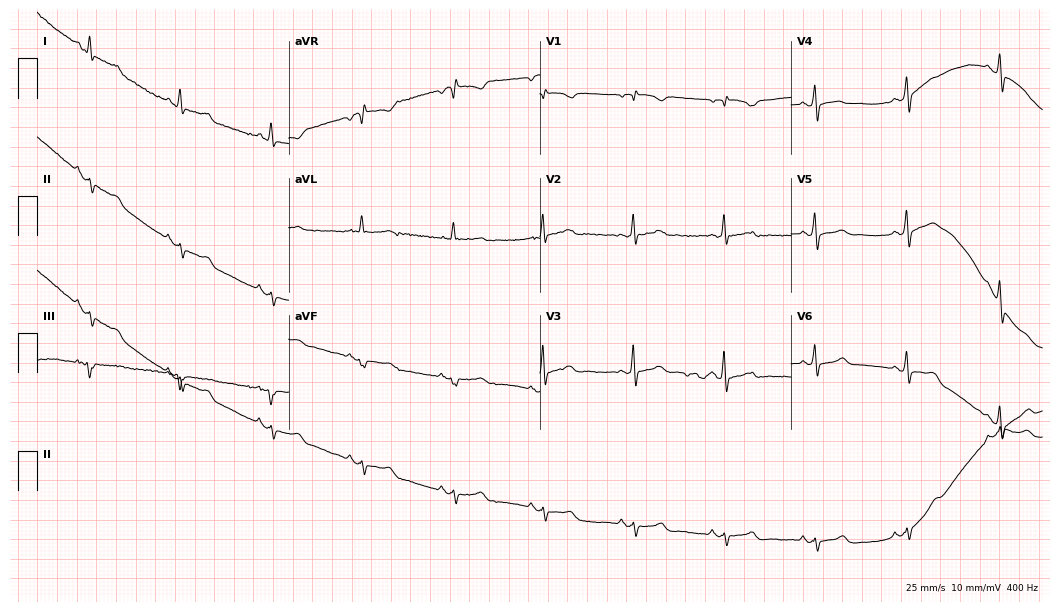
Electrocardiogram, a 61-year-old female. Of the six screened findings (first-degree AV block, right bundle branch block, left bundle branch block, sinus bradycardia, atrial fibrillation, sinus tachycardia), none is recorded.